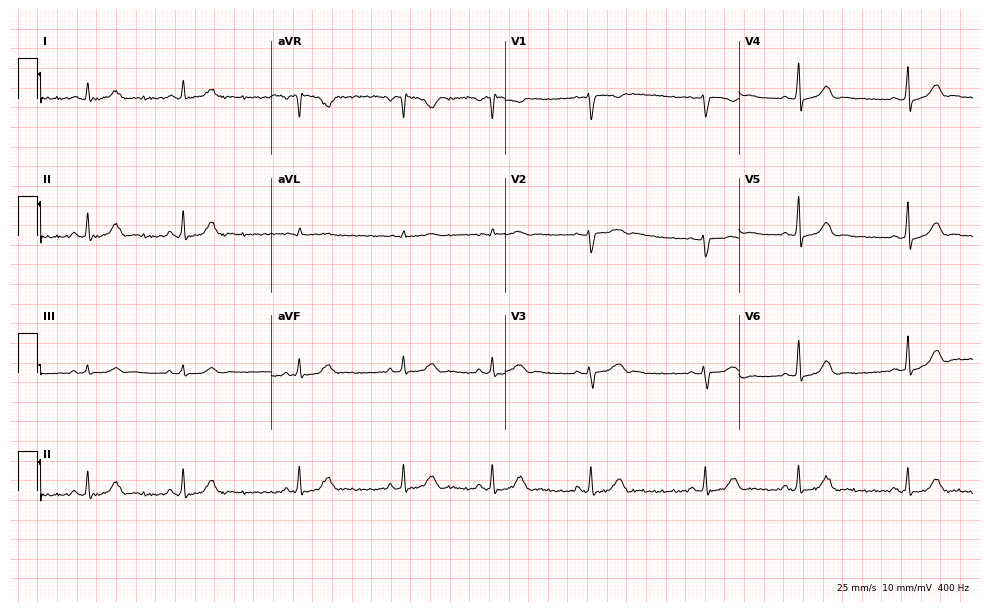
12-lead ECG from a 30-year-old female. Labelled as a normal ECG.